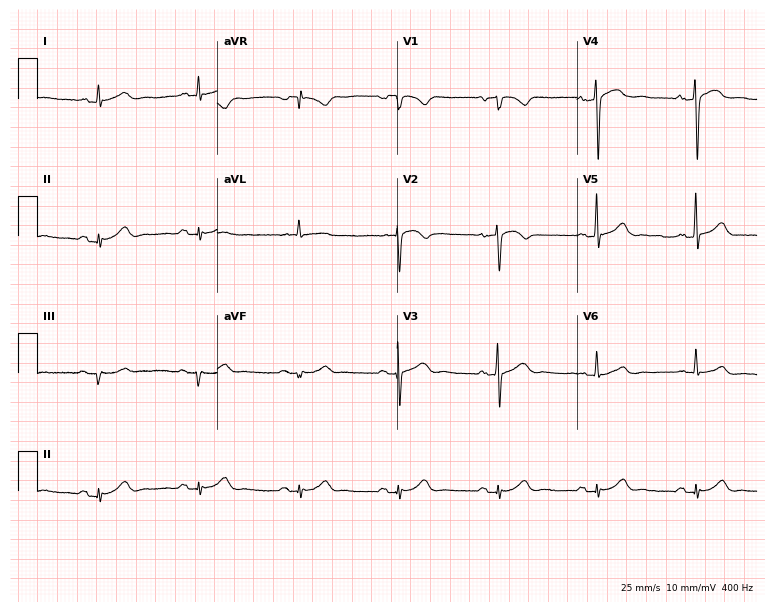
Electrocardiogram (7.3-second recording at 400 Hz), a male, 59 years old. Overall reading on record: normal ECG.